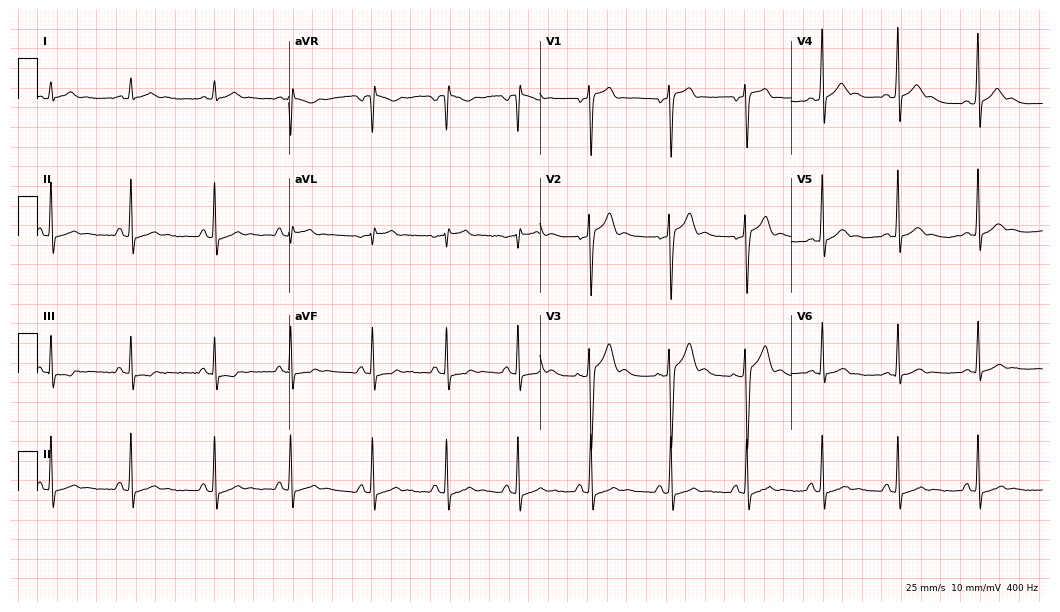
Resting 12-lead electrocardiogram. Patient: a 17-year-old male. None of these six findings is recorded: first-degree AV block, right bundle branch block, left bundle branch block, sinus bradycardia, atrial fibrillation, sinus tachycardia.